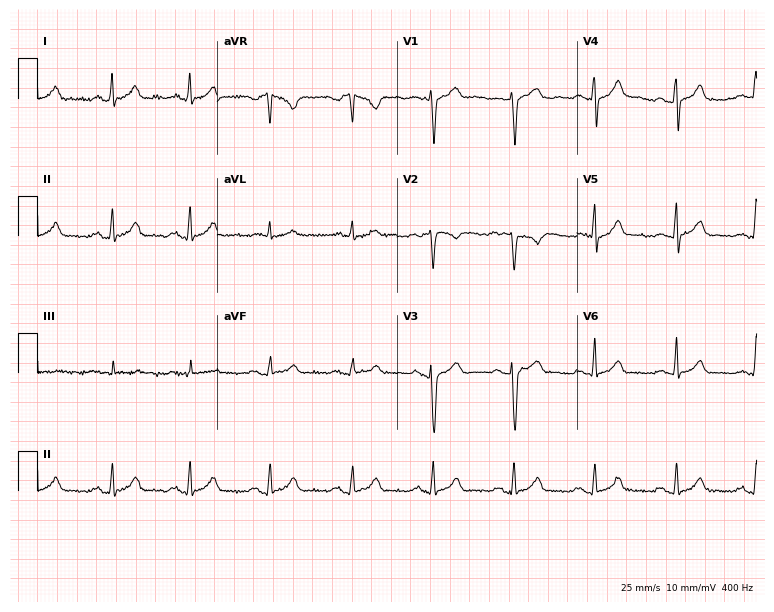
Standard 12-lead ECG recorded from a 43-year-old man (7.3-second recording at 400 Hz). Read as a normal ECG.